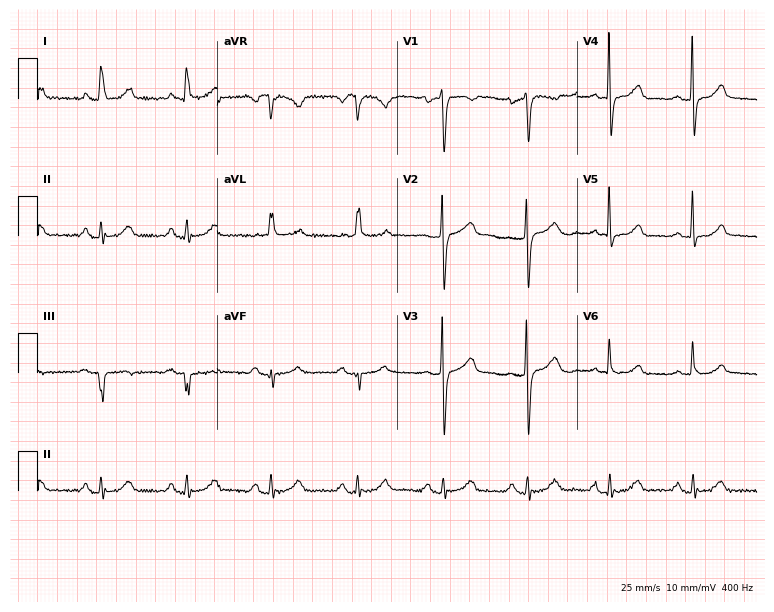
Standard 12-lead ECG recorded from a woman, 63 years old. Read as a normal ECG.